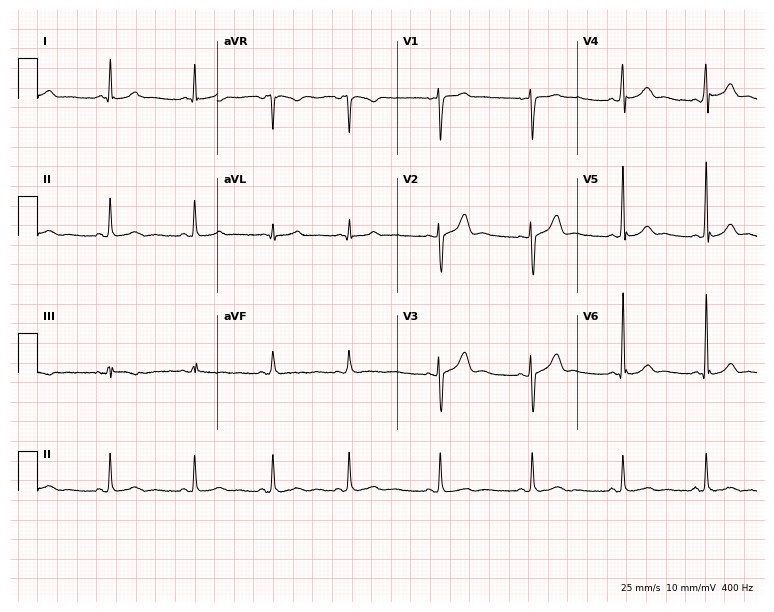
ECG (7.3-second recording at 400 Hz) — a 31-year-old male. Screened for six findings — first-degree AV block, right bundle branch block (RBBB), left bundle branch block (LBBB), sinus bradycardia, atrial fibrillation (AF), sinus tachycardia — none is recorded. Only these six findings were labelled.